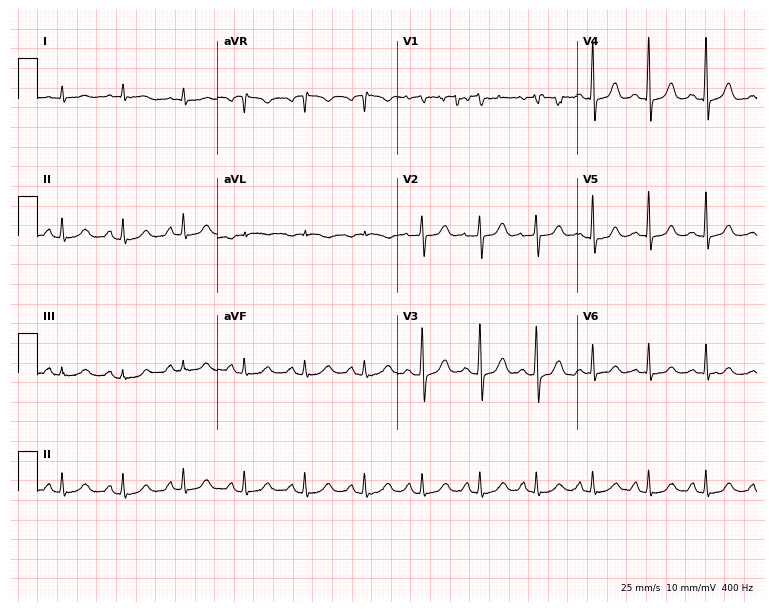
ECG (7.3-second recording at 400 Hz) — a 46-year-old female. Screened for six findings — first-degree AV block, right bundle branch block, left bundle branch block, sinus bradycardia, atrial fibrillation, sinus tachycardia — none is recorded.